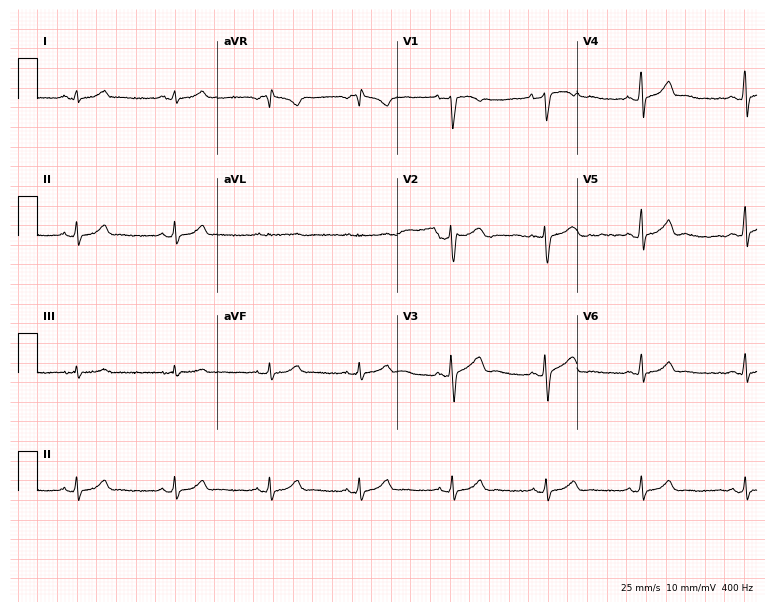
12-lead ECG from a female, 27 years old (7.3-second recording at 400 Hz). Recorded interpretation: within normal limits.